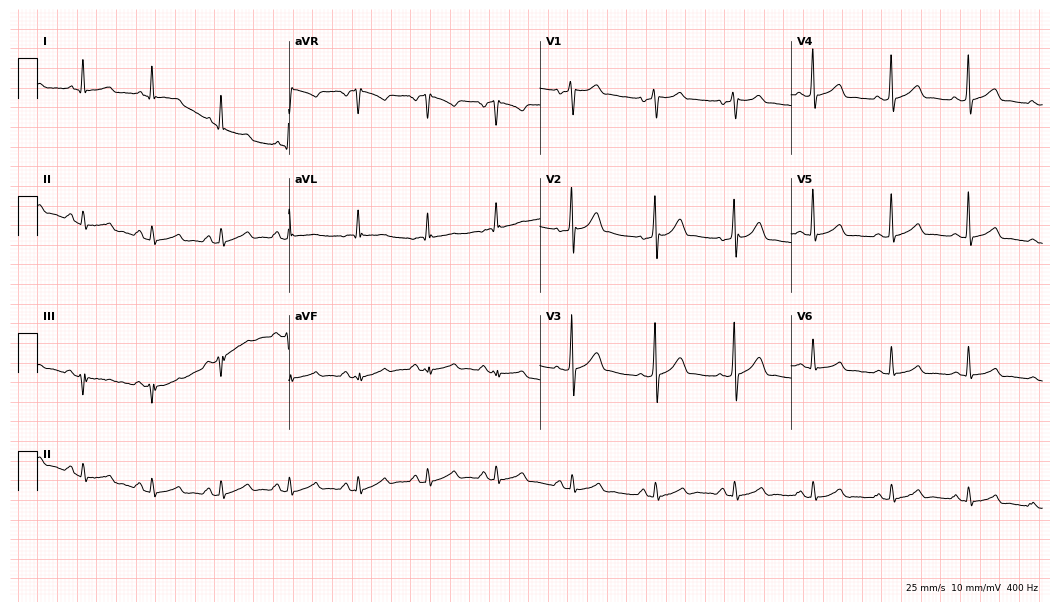
ECG (10.2-second recording at 400 Hz) — a 42-year-old male. Screened for six findings — first-degree AV block, right bundle branch block, left bundle branch block, sinus bradycardia, atrial fibrillation, sinus tachycardia — none is recorded.